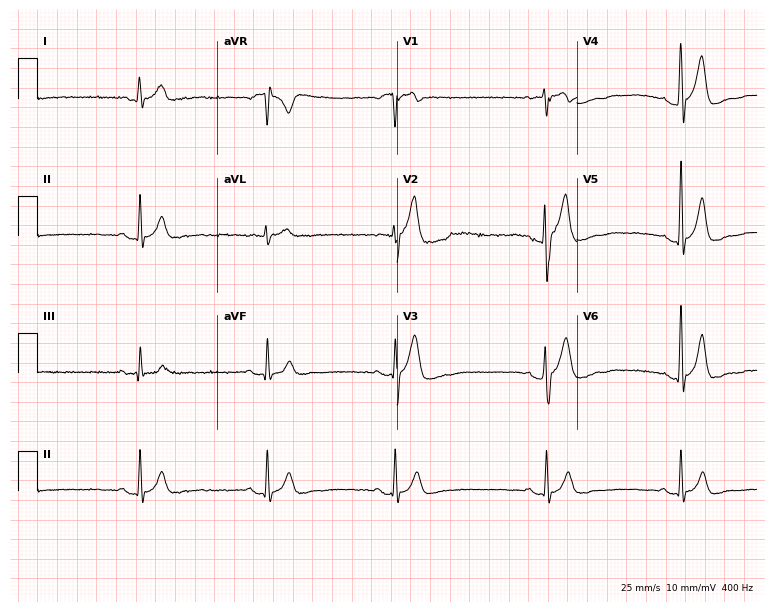
Electrocardiogram (7.3-second recording at 400 Hz), a male patient, 22 years old. Interpretation includes sinus bradycardia (a sinus rate of 50 beats per minute or less).